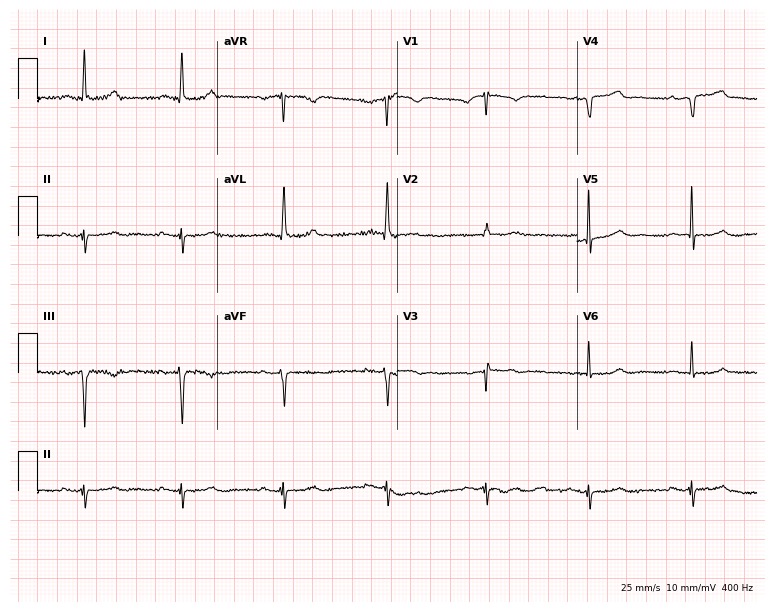
12-lead ECG from a female patient, 84 years old (7.3-second recording at 400 Hz). No first-degree AV block, right bundle branch block, left bundle branch block, sinus bradycardia, atrial fibrillation or sinus tachycardia recorded for this tracing. Only these six findings were labelled.